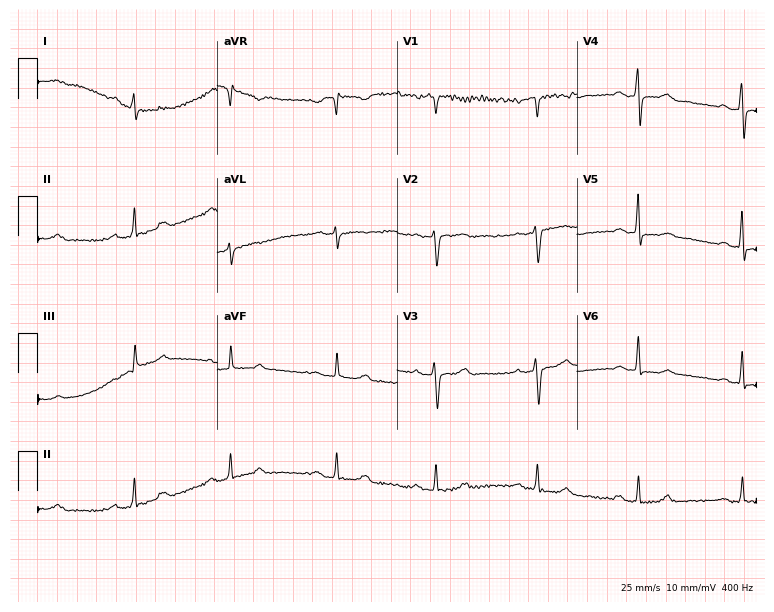
Electrocardiogram, a 55-year-old female patient. Of the six screened findings (first-degree AV block, right bundle branch block, left bundle branch block, sinus bradycardia, atrial fibrillation, sinus tachycardia), none is recorded.